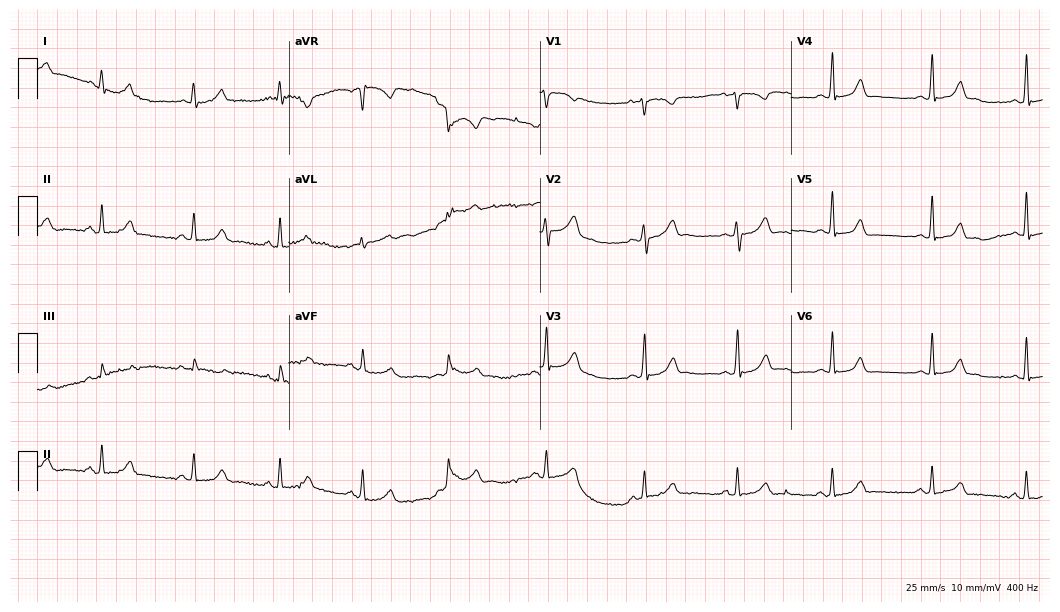
12-lead ECG from a 21-year-old female patient (10.2-second recording at 400 Hz). Recorded interpretation: within normal limits.